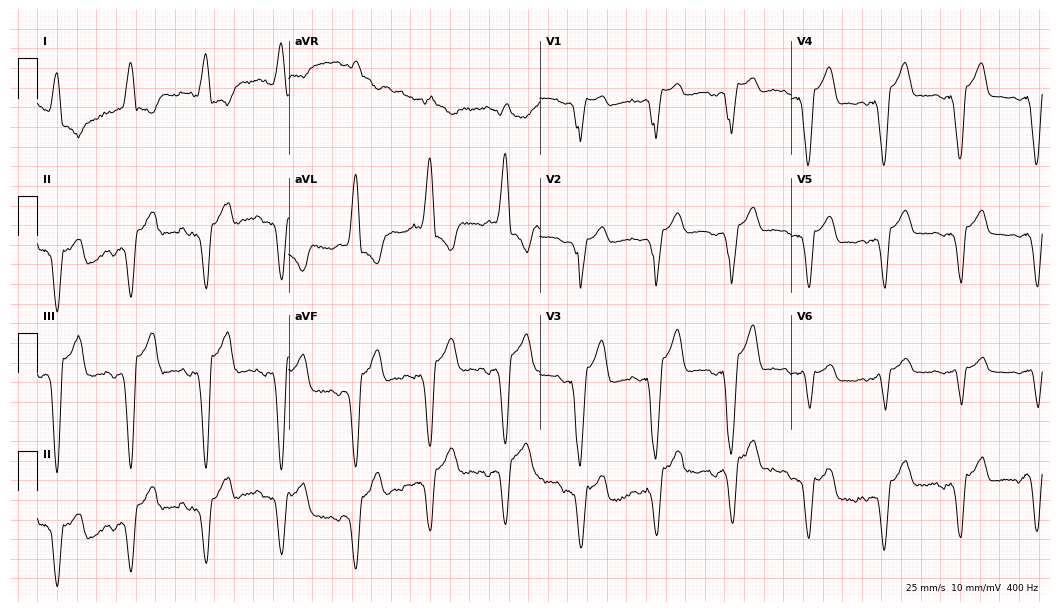
Standard 12-lead ECG recorded from a 77-year-old female patient (10.2-second recording at 400 Hz). The tracing shows left bundle branch block (LBBB).